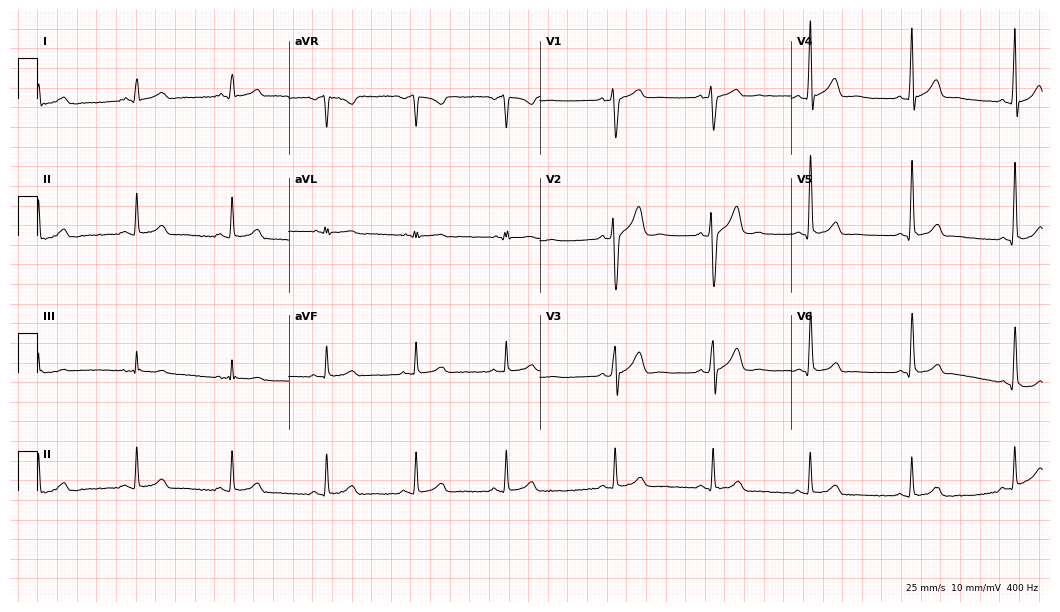
12-lead ECG from a male patient, 23 years old. Recorded interpretation: within normal limits.